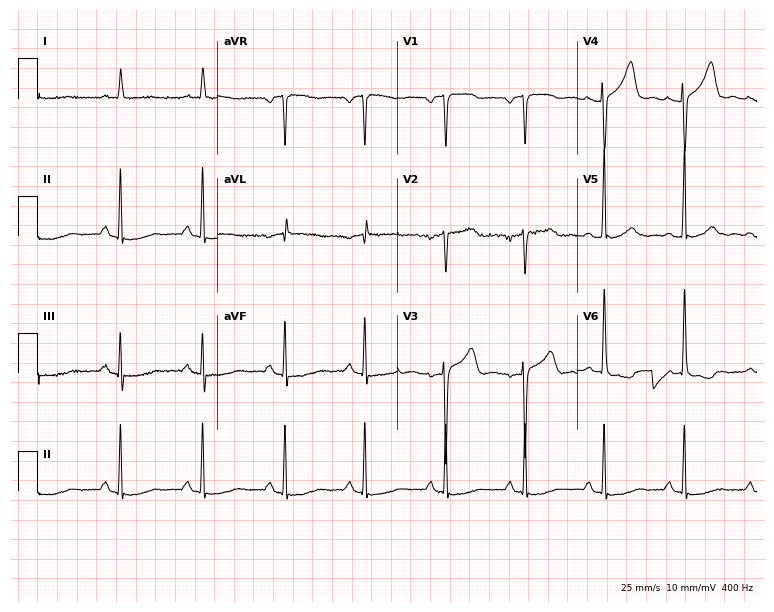
Standard 12-lead ECG recorded from a 79-year-old woman. None of these six findings is recorded: first-degree AV block, right bundle branch block, left bundle branch block, sinus bradycardia, atrial fibrillation, sinus tachycardia. Only these six findings were labelled.